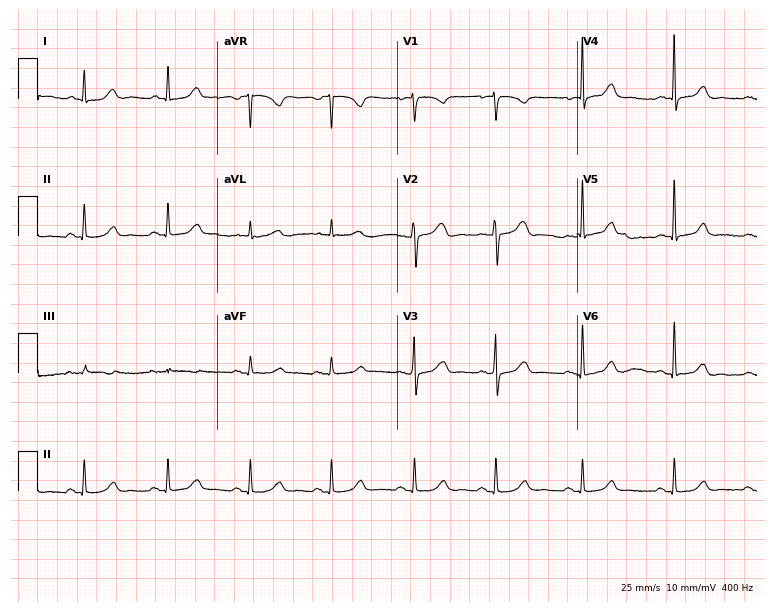
Resting 12-lead electrocardiogram. Patient: a 47-year-old female. Read as a normal ECG.